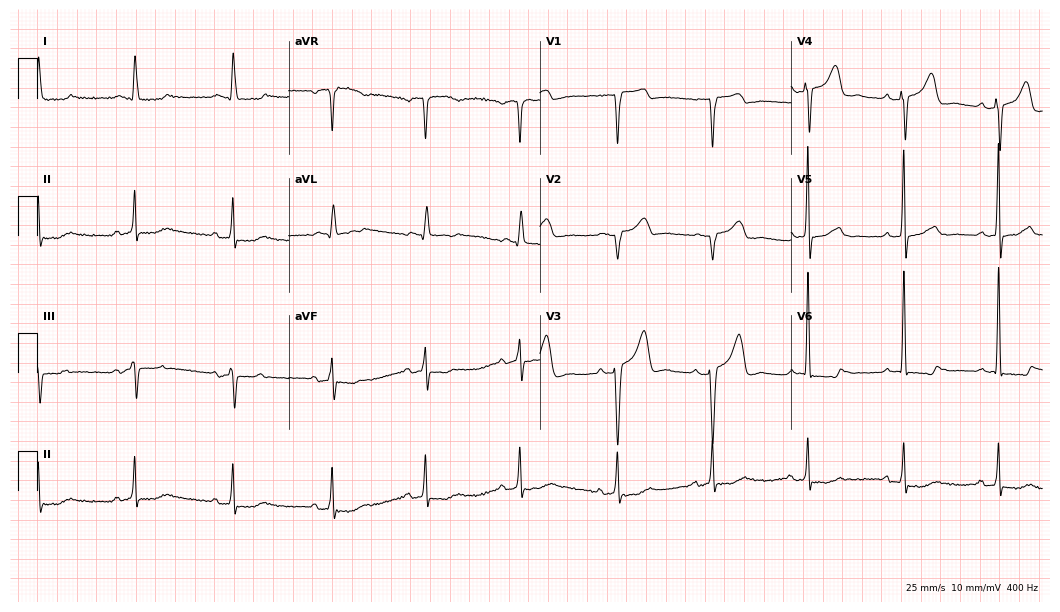
12-lead ECG (10.2-second recording at 400 Hz) from a 66-year-old female patient. Screened for six findings — first-degree AV block, right bundle branch block, left bundle branch block, sinus bradycardia, atrial fibrillation, sinus tachycardia — none is recorded. Other findings, if any, are not listed.